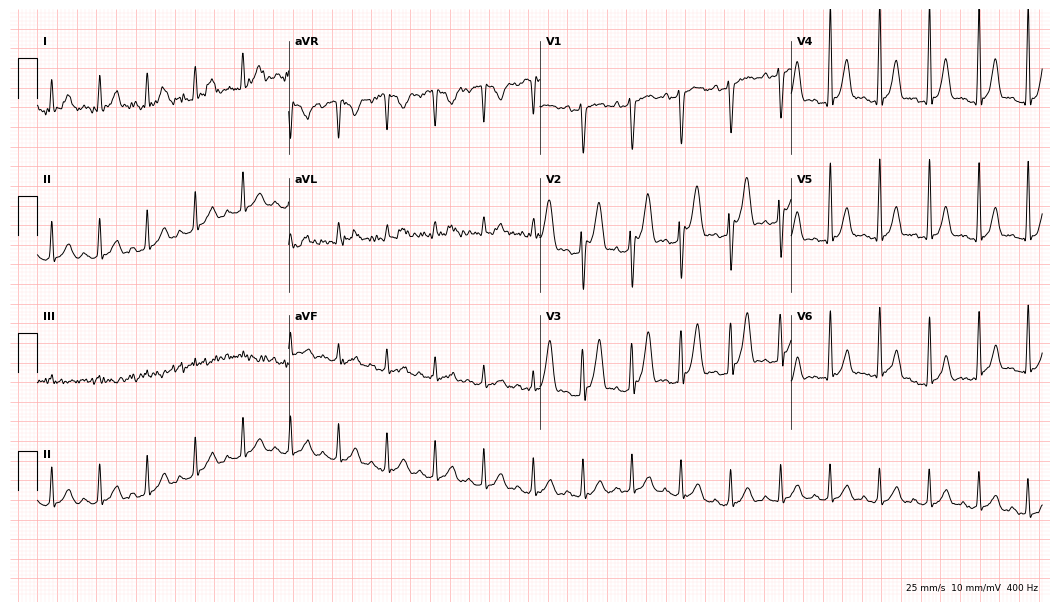
12-lead ECG from a female, 31 years old. Shows sinus tachycardia (a sinus rate of 100 beats per minute or more).